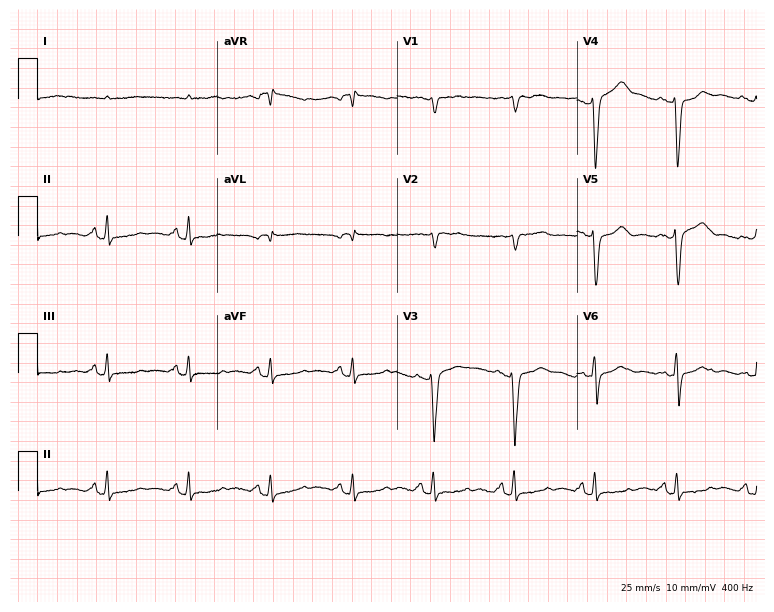
12-lead ECG from a 75-year-old male (7.3-second recording at 400 Hz). No first-degree AV block, right bundle branch block, left bundle branch block, sinus bradycardia, atrial fibrillation or sinus tachycardia recorded for this tracing. Other findings, if any, are not listed.